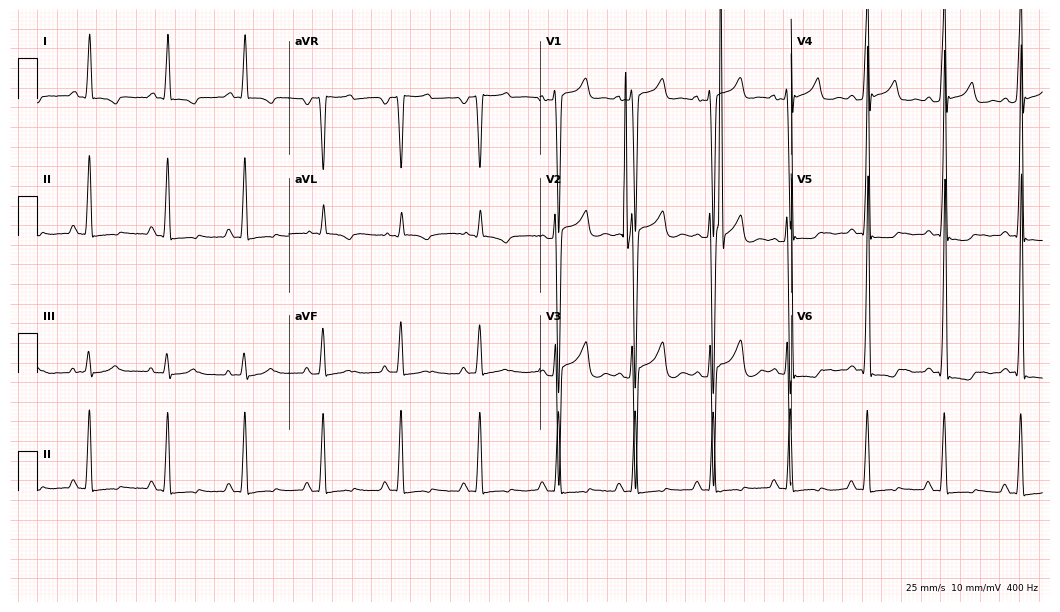
Electrocardiogram, a male patient, 32 years old. Of the six screened findings (first-degree AV block, right bundle branch block, left bundle branch block, sinus bradycardia, atrial fibrillation, sinus tachycardia), none is recorded. Findings outside these six are not listed.